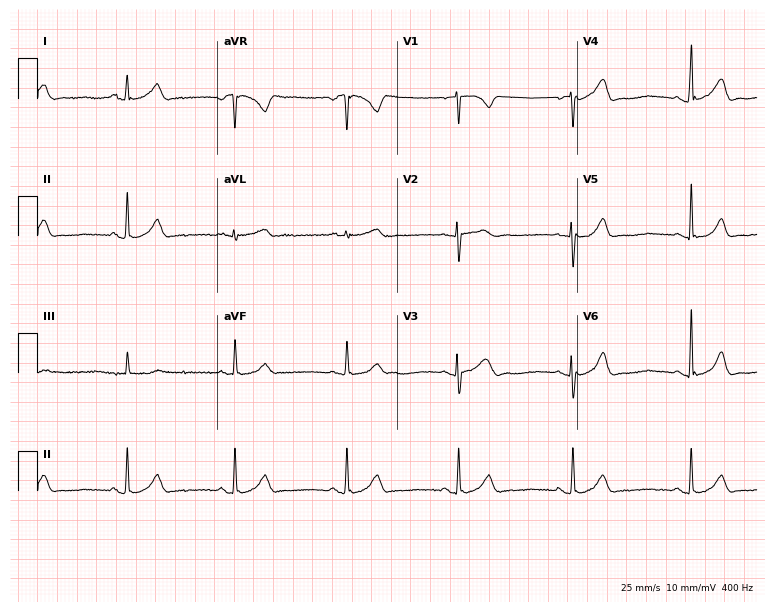
Resting 12-lead electrocardiogram. Patient: a 19-year-old woman. Read as a normal ECG.